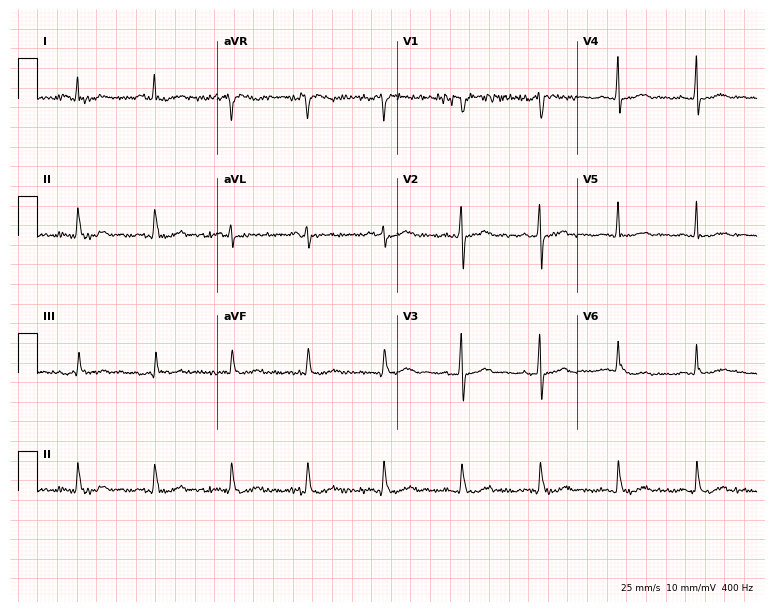
Standard 12-lead ECG recorded from a man, 52 years old (7.3-second recording at 400 Hz). None of these six findings is recorded: first-degree AV block, right bundle branch block (RBBB), left bundle branch block (LBBB), sinus bradycardia, atrial fibrillation (AF), sinus tachycardia. Findings outside these six are not listed.